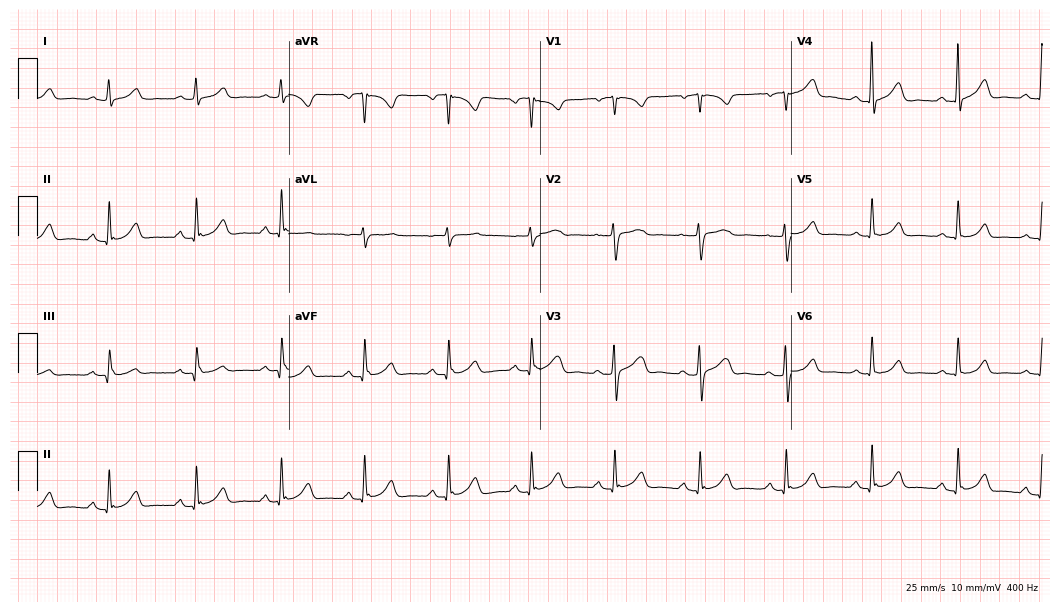
Electrocardiogram, a female, 67 years old. Overall reading on record: normal ECG.